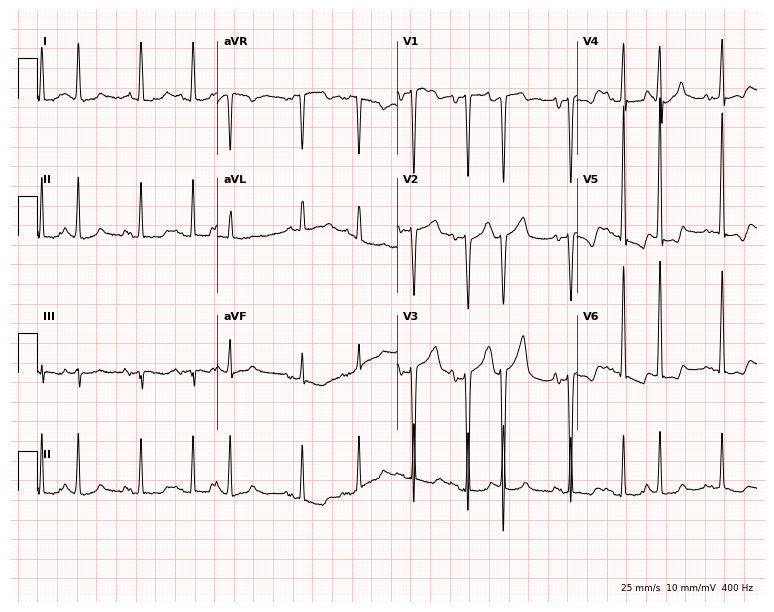
ECG — a woman, 71 years old. Findings include sinus tachycardia (a sinus rate of 100 beats per minute or more).